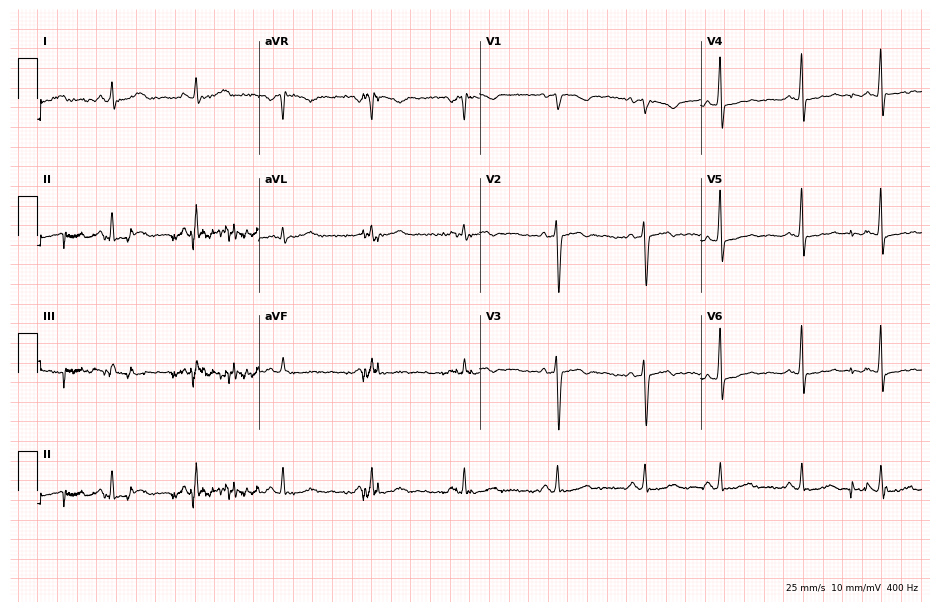
Electrocardiogram, a woman, 32 years old. Overall reading on record: normal ECG.